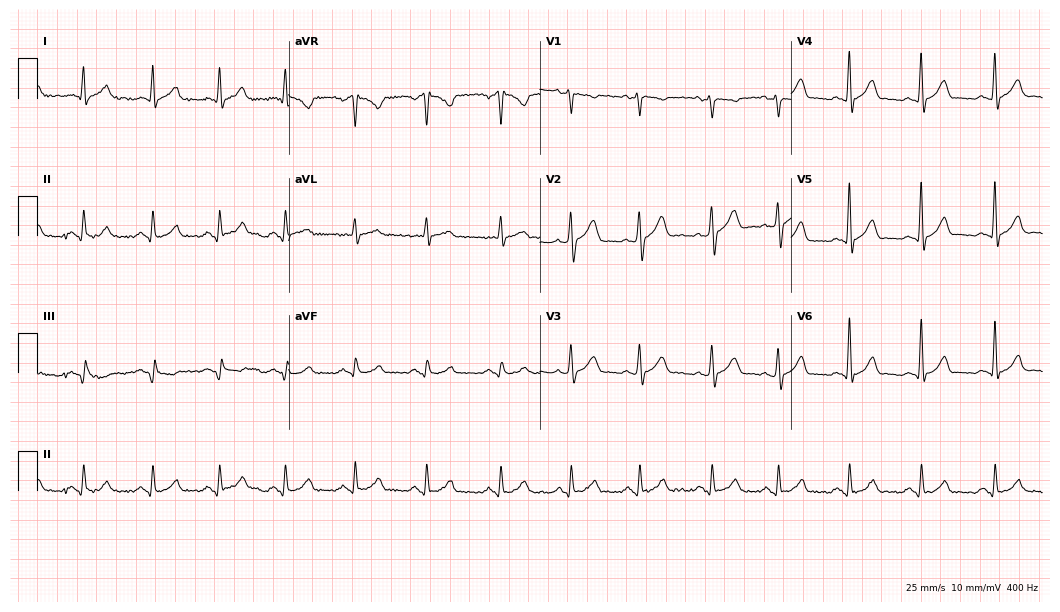
Standard 12-lead ECG recorded from a 27-year-old male patient (10.2-second recording at 400 Hz). None of these six findings is recorded: first-degree AV block, right bundle branch block (RBBB), left bundle branch block (LBBB), sinus bradycardia, atrial fibrillation (AF), sinus tachycardia.